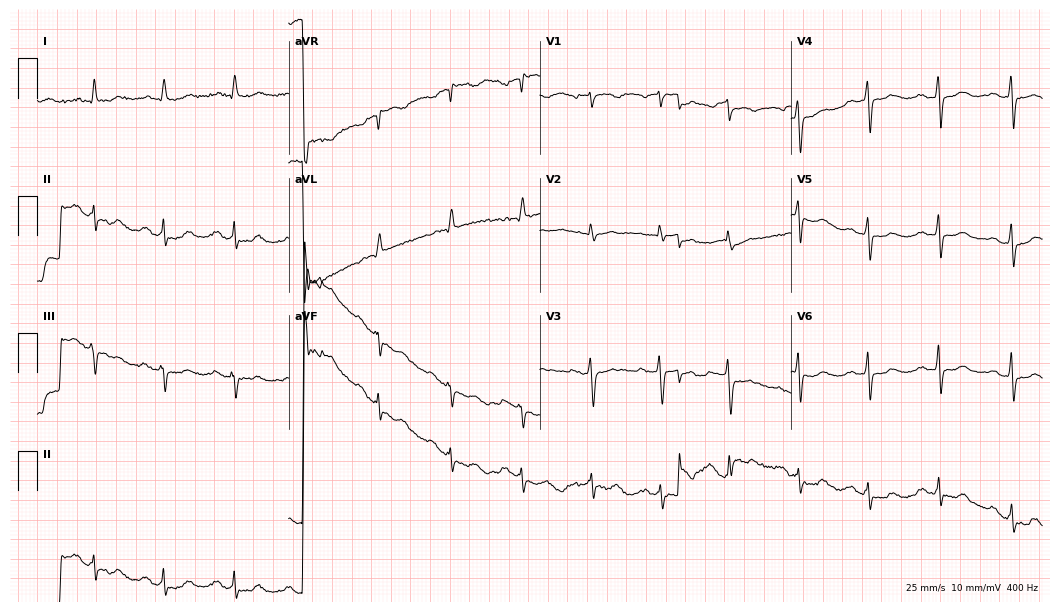
12-lead ECG from a female patient, 78 years old. Screened for six findings — first-degree AV block, right bundle branch block, left bundle branch block, sinus bradycardia, atrial fibrillation, sinus tachycardia — none is recorded.